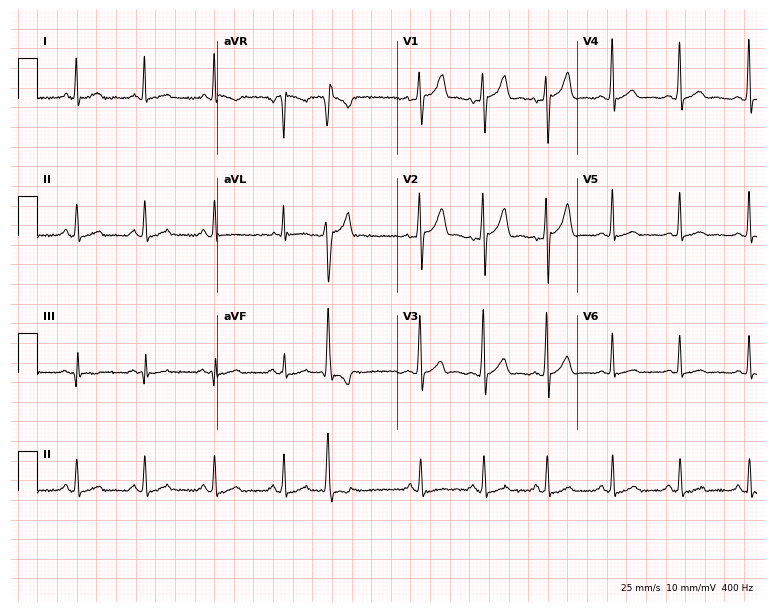
12-lead ECG from a male patient, 27 years old. No first-degree AV block, right bundle branch block (RBBB), left bundle branch block (LBBB), sinus bradycardia, atrial fibrillation (AF) or sinus tachycardia recorded for this tracing.